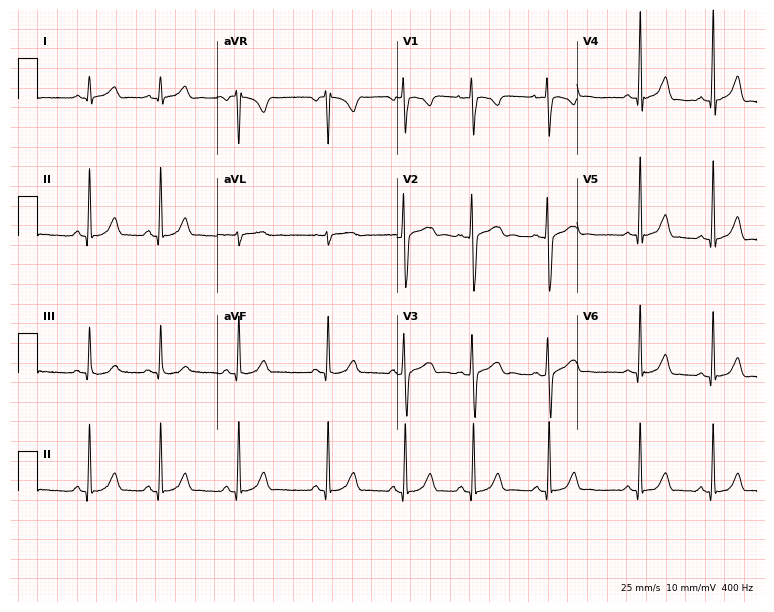
12-lead ECG from a female, 21 years old (7.3-second recording at 400 Hz). No first-degree AV block, right bundle branch block, left bundle branch block, sinus bradycardia, atrial fibrillation or sinus tachycardia recorded for this tracing.